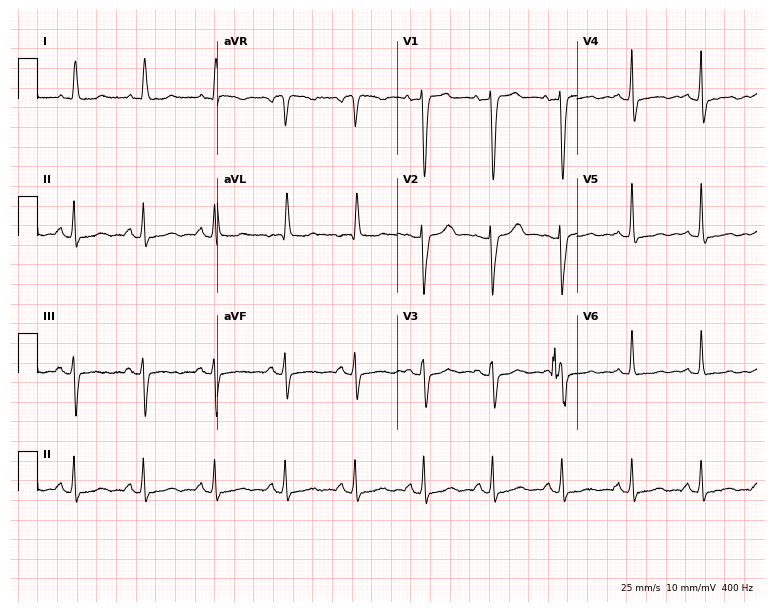
12-lead ECG (7.3-second recording at 400 Hz) from a 76-year-old female. Screened for six findings — first-degree AV block, right bundle branch block, left bundle branch block, sinus bradycardia, atrial fibrillation, sinus tachycardia — none is recorded.